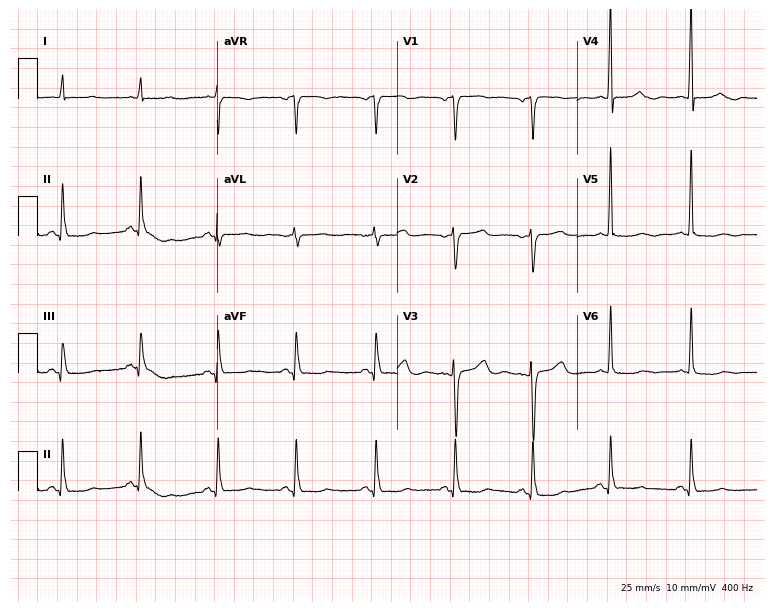
Electrocardiogram (7.3-second recording at 400 Hz), a female patient, 74 years old. Of the six screened findings (first-degree AV block, right bundle branch block, left bundle branch block, sinus bradycardia, atrial fibrillation, sinus tachycardia), none is recorded.